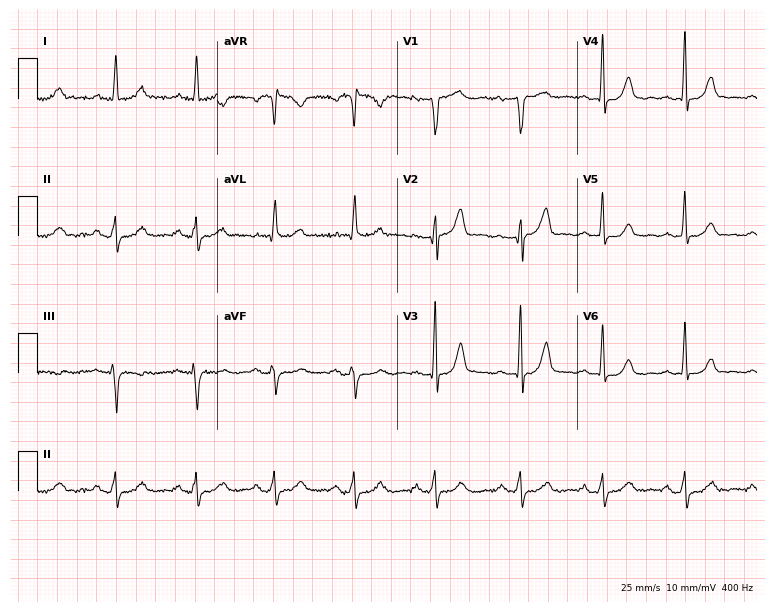
ECG — a 54-year-old female patient. Findings include first-degree AV block.